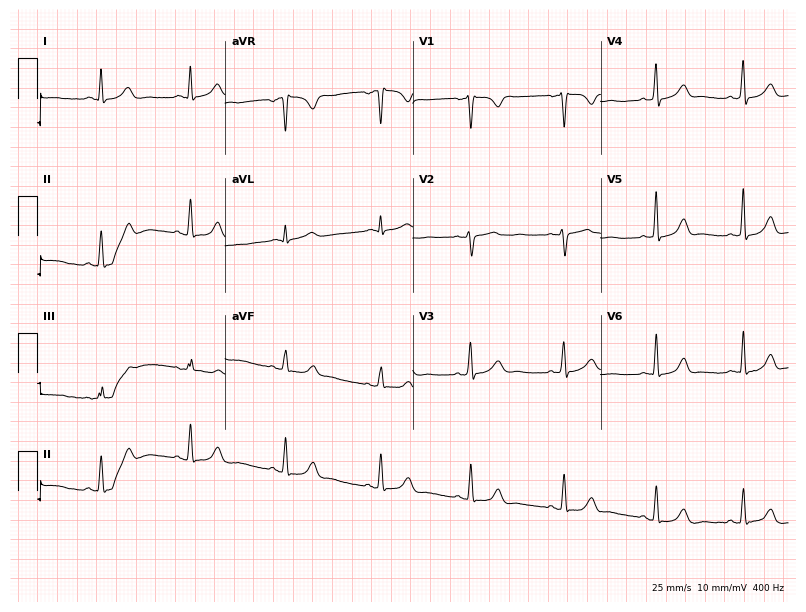
Electrocardiogram (7.7-second recording at 400 Hz), a female patient, 32 years old. Of the six screened findings (first-degree AV block, right bundle branch block (RBBB), left bundle branch block (LBBB), sinus bradycardia, atrial fibrillation (AF), sinus tachycardia), none is recorded.